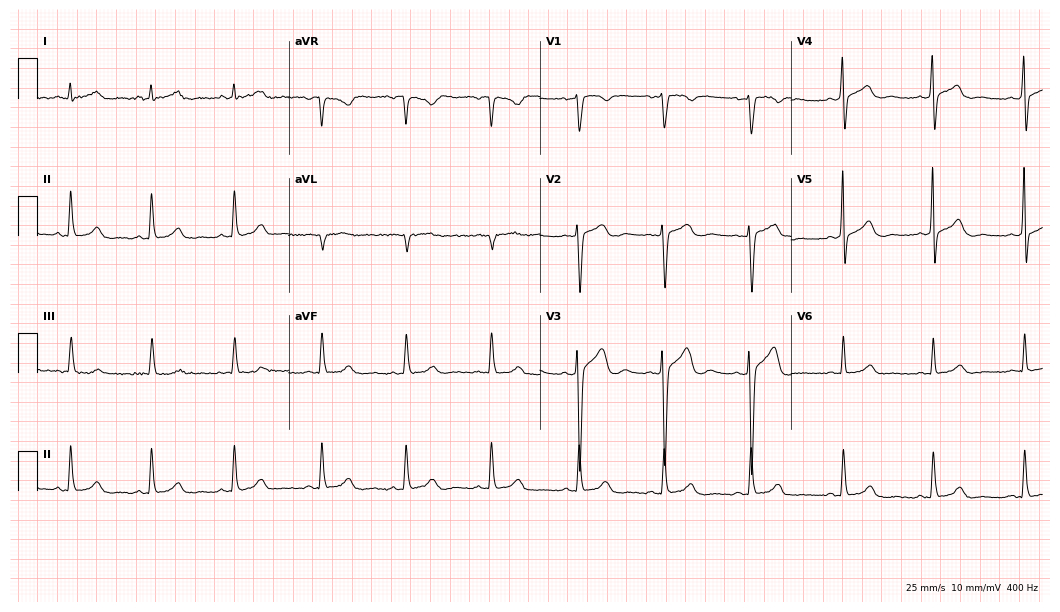
Electrocardiogram (10.2-second recording at 400 Hz), a 35-year-old woman. Overall reading on record: normal ECG.